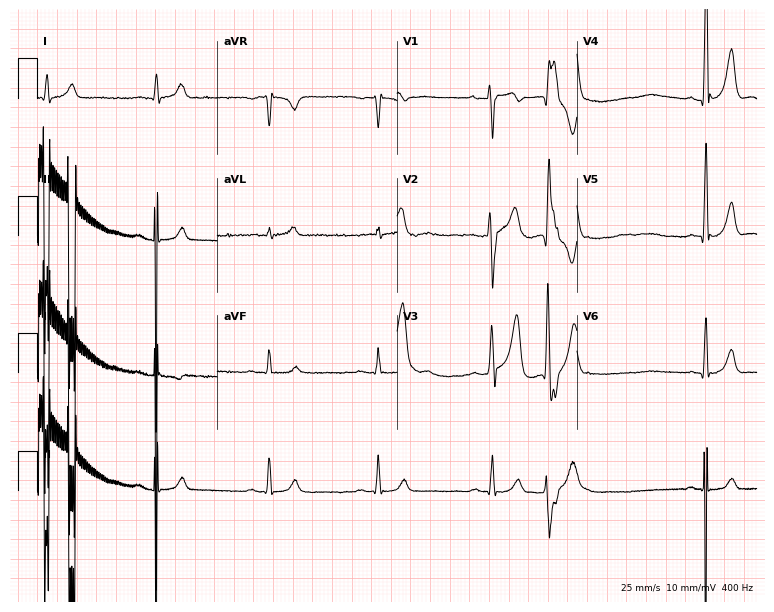
Resting 12-lead electrocardiogram. Patient: a 39-year-old man. None of these six findings is recorded: first-degree AV block, right bundle branch block, left bundle branch block, sinus bradycardia, atrial fibrillation, sinus tachycardia.